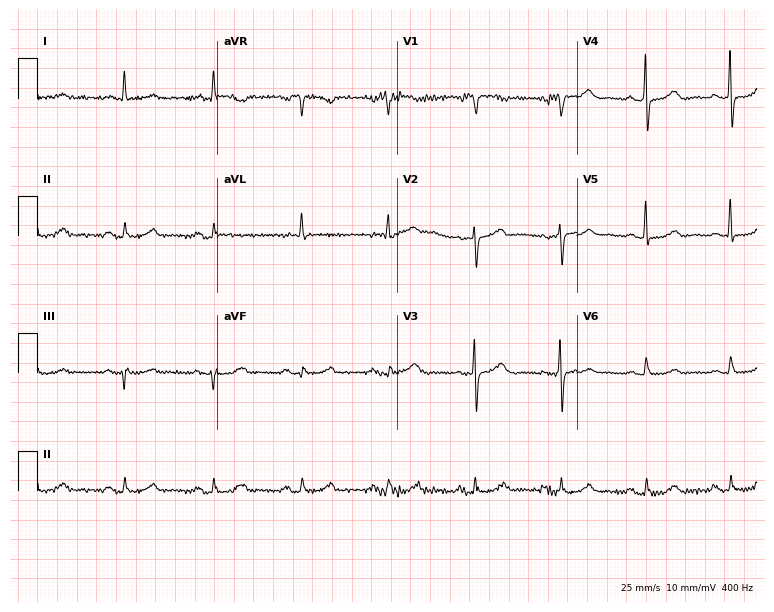
Standard 12-lead ECG recorded from a 77-year-old woman (7.3-second recording at 400 Hz). Read as a normal ECG.